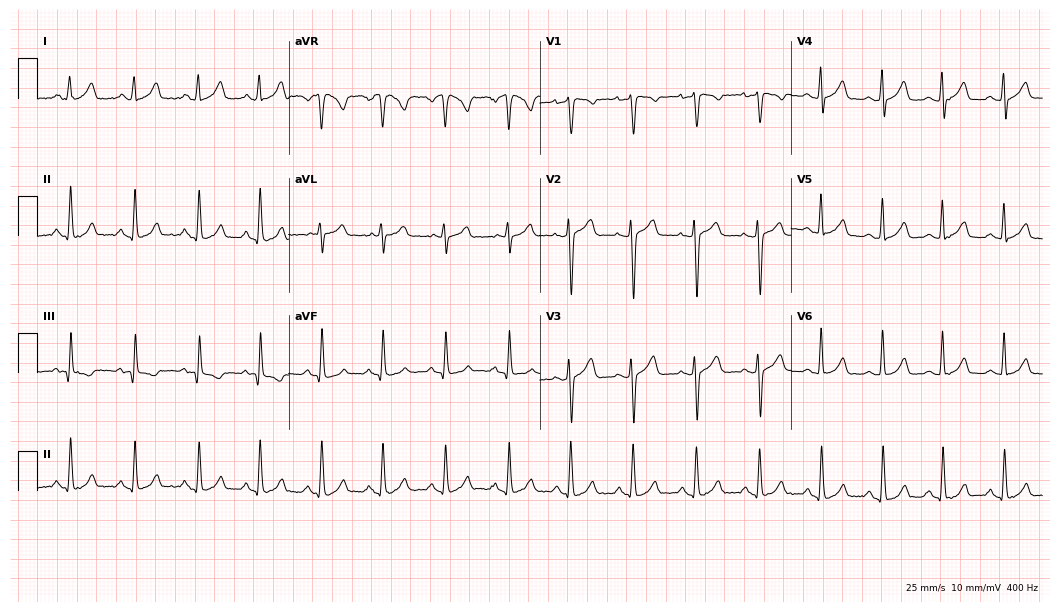
ECG (10.2-second recording at 400 Hz) — a 24-year-old female patient. Screened for six findings — first-degree AV block, right bundle branch block (RBBB), left bundle branch block (LBBB), sinus bradycardia, atrial fibrillation (AF), sinus tachycardia — none is recorded. Other findings, if any, are not listed.